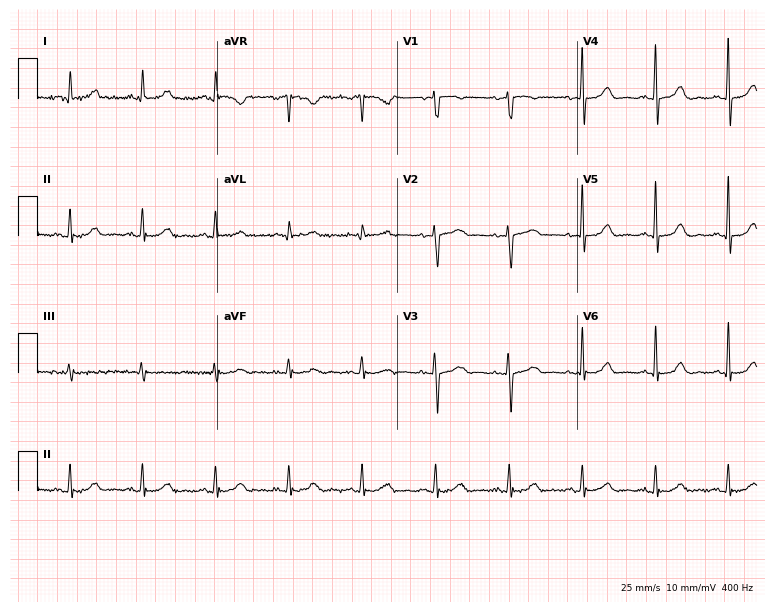
12-lead ECG from a 51-year-old female (7.3-second recording at 400 Hz). Recorded interpretation: within normal limits.